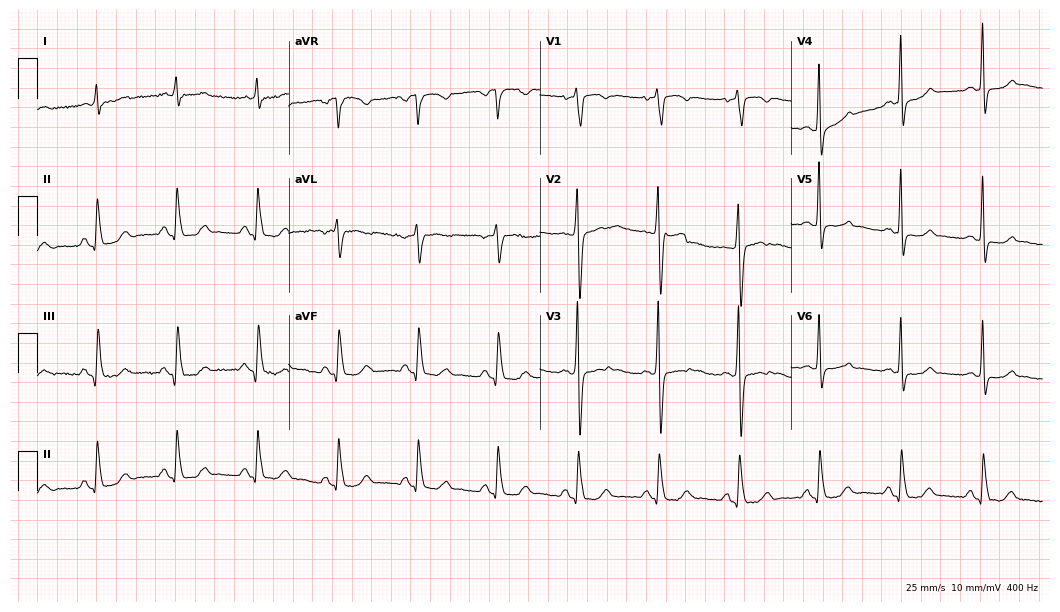
ECG — a 73-year-old female. Screened for six findings — first-degree AV block, right bundle branch block, left bundle branch block, sinus bradycardia, atrial fibrillation, sinus tachycardia — none is recorded.